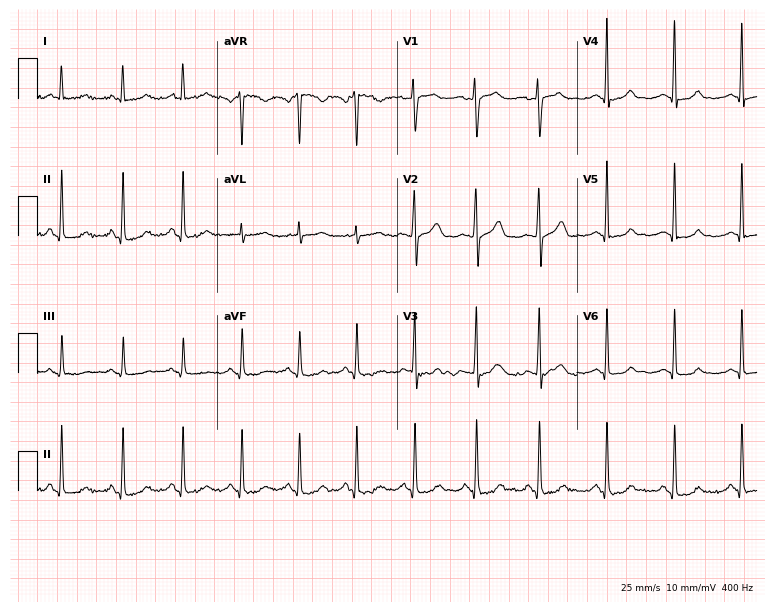
ECG (7.3-second recording at 400 Hz) — a 51-year-old female patient. Labelled as a normal ECG.